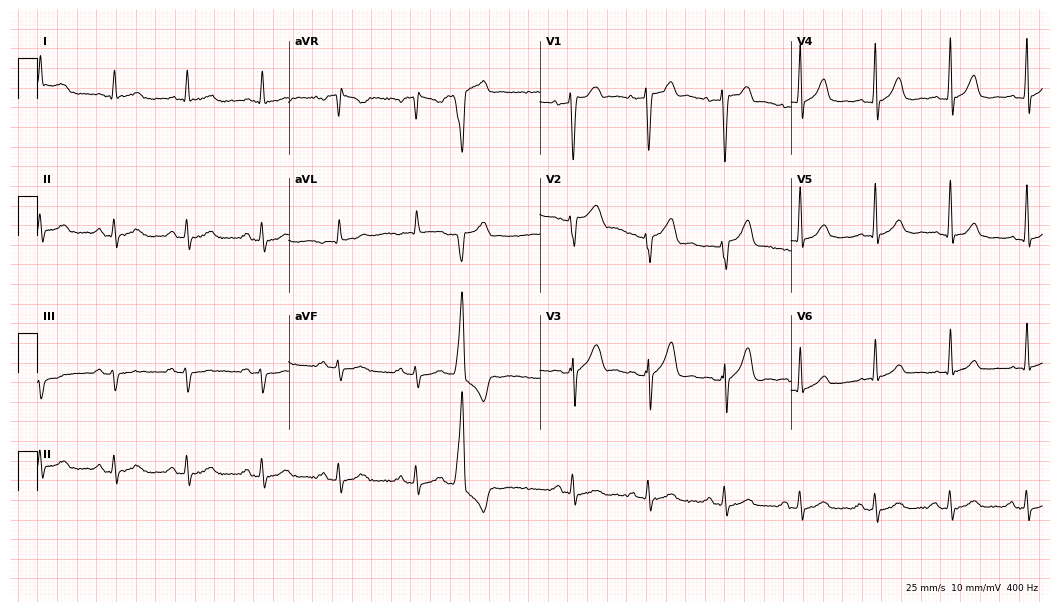
12-lead ECG from a 51-year-old male patient. No first-degree AV block, right bundle branch block, left bundle branch block, sinus bradycardia, atrial fibrillation or sinus tachycardia recorded for this tracing. Other findings, if any, are not listed.